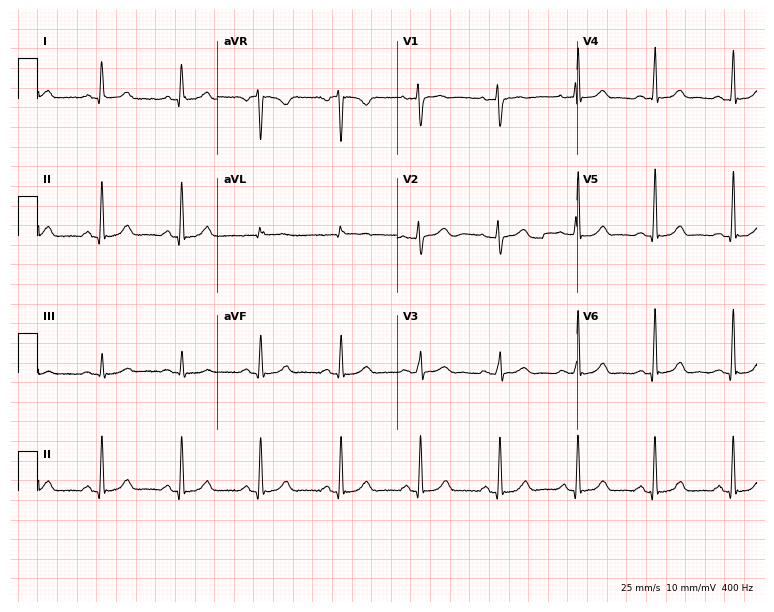
Resting 12-lead electrocardiogram (7.3-second recording at 400 Hz). Patient: a female, 40 years old. Read as a normal ECG.